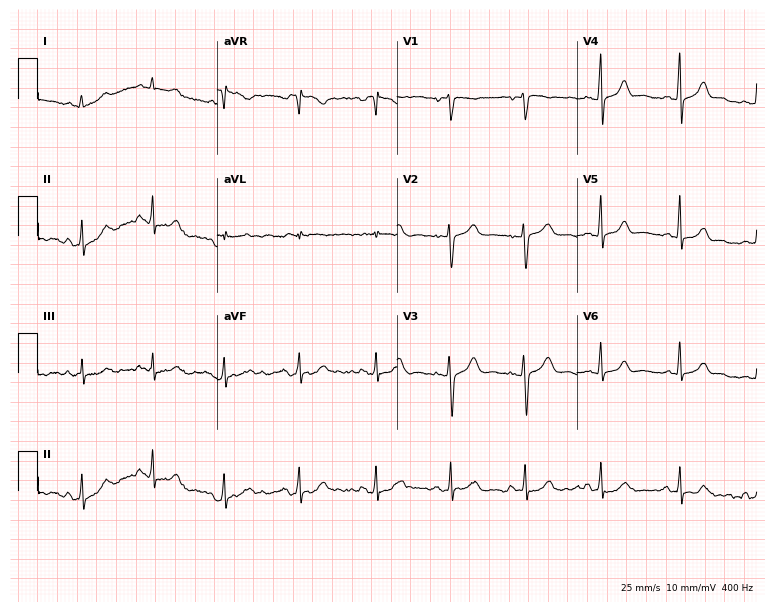
12-lead ECG from a 56-year-old woman. Recorded interpretation: within normal limits.